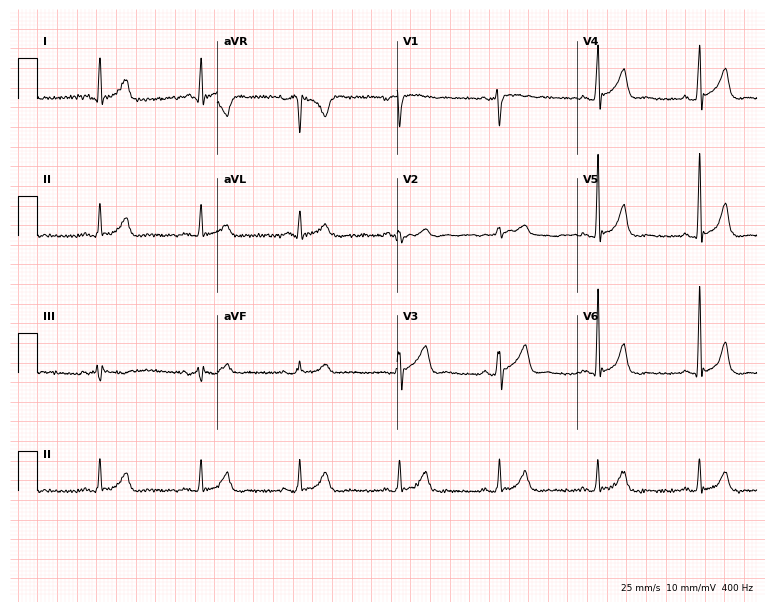
12-lead ECG from a man, 55 years old (7.3-second recording at 400 Hz). Recorded interpretation: within normal limits.